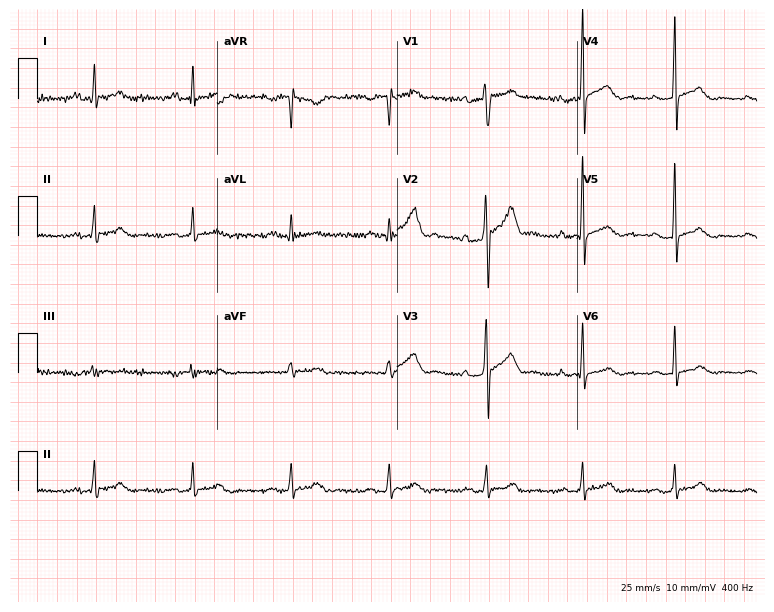
ECG — a male, 49 years old. Labelled as a normal ECG.